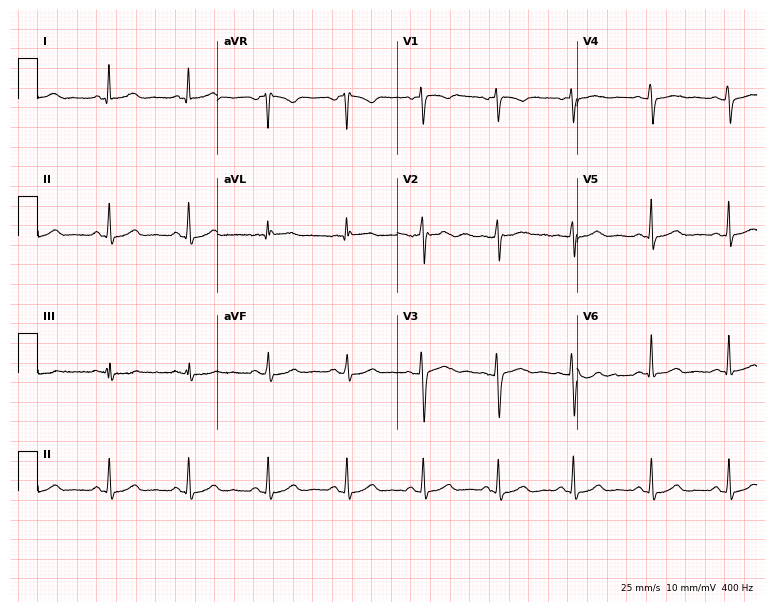
12-lead ECG from a 46-year-old woman. Labelled as a normal ECG.